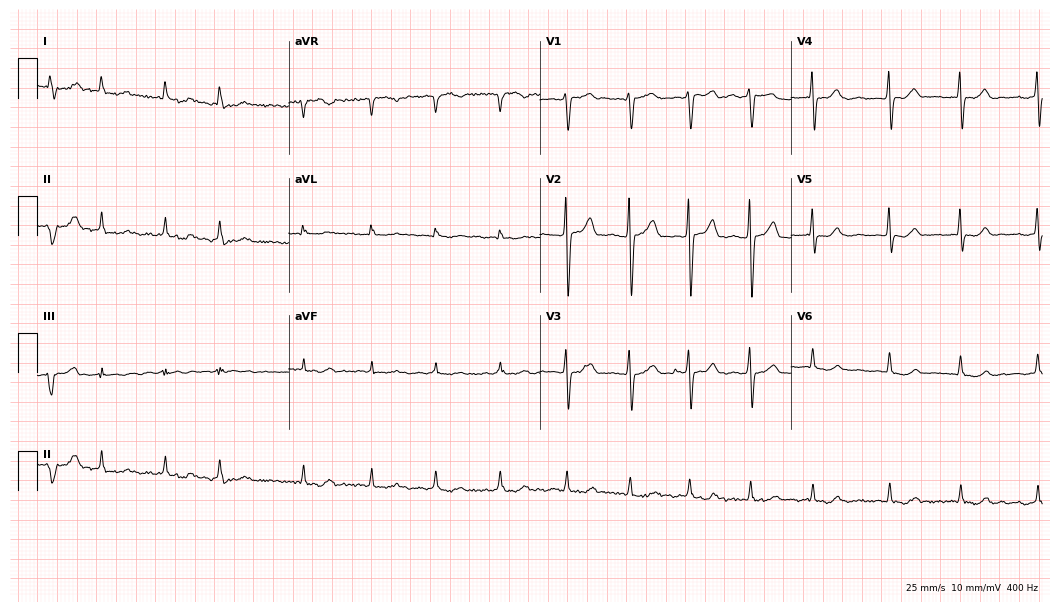
12-lead ECG from a 56-year-old woman (10.2-second recording at 400 Hz). Shows atrial fibrillation.